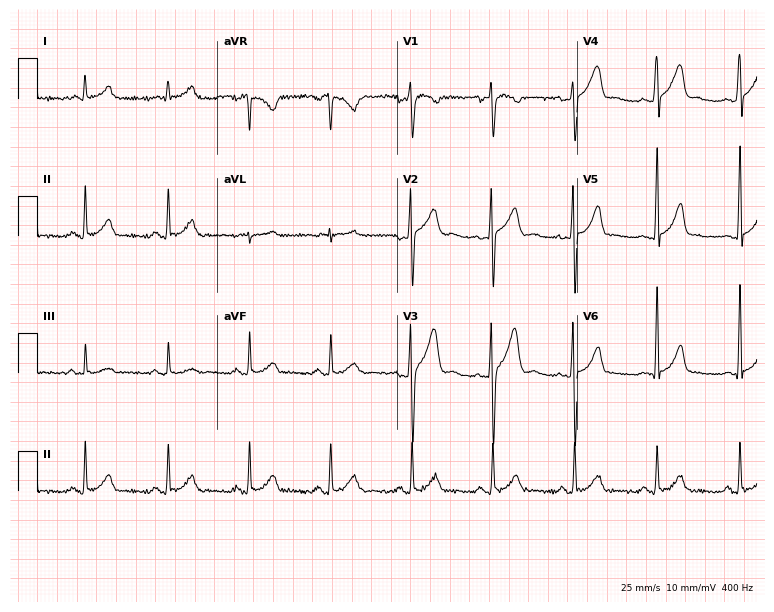
Resting 12-lead electrocardiogram (7.3-second recording at 400 Hz). Patient: a male, 36 years old. Read as a normal ECG.